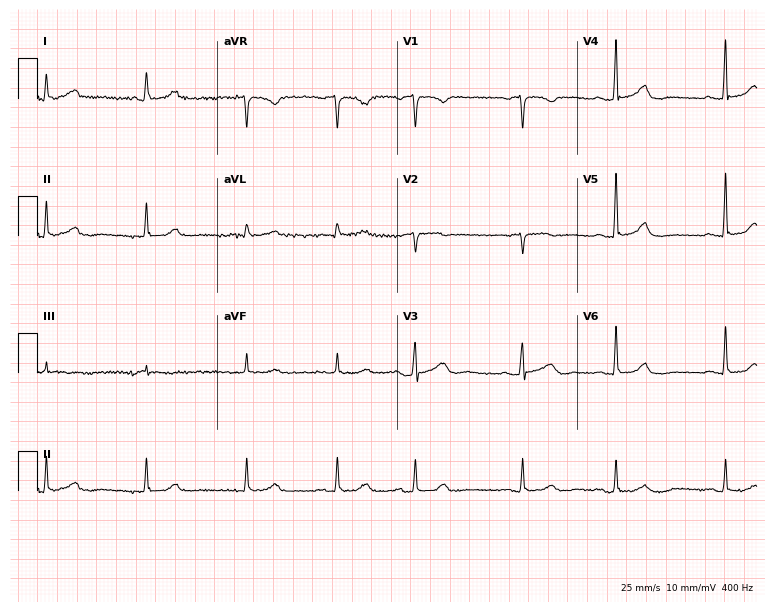
12-lead ECG from a 65-year-old female. Labelled as a normal ECG.